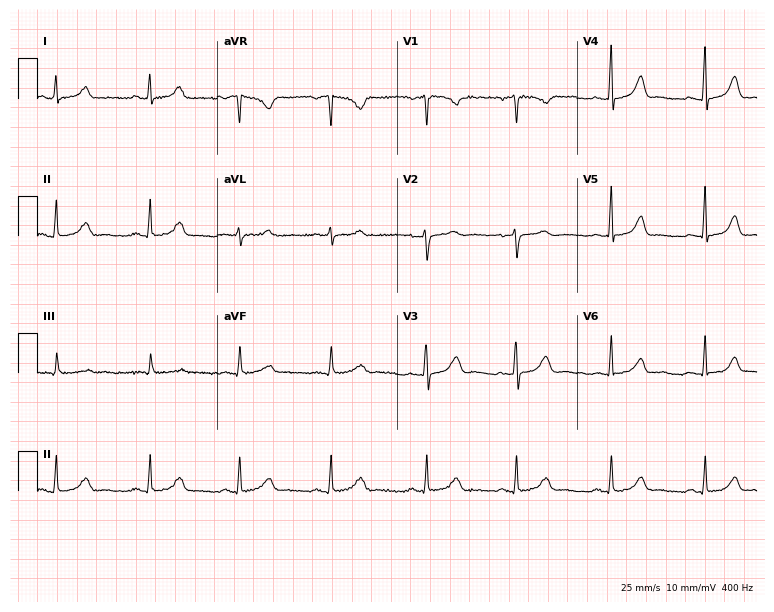
12-lead ECG from a 47-year-old female patient (7.3-second recording at 400 Hz). Recorded interpretation: within normal limits.